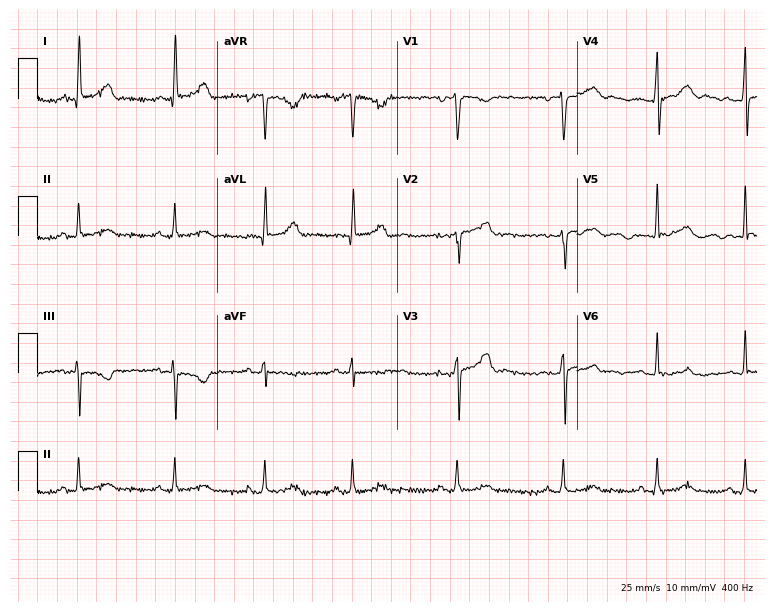
12-lead ECG from a 33-year-old woman (7.3-second recording at 400 Hz). No first-degree AV block, right bundle branch block, left bundle branch block, sinus bradycardia, atrial fibrillation or sinus tachycardia recorded for this tracing.